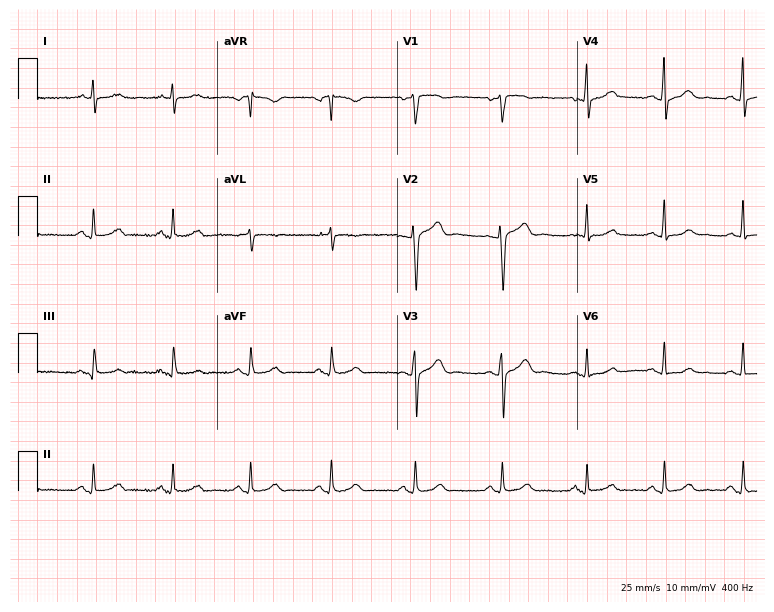
ECG — a man, 42 years old. Labelled as a normal ECG.